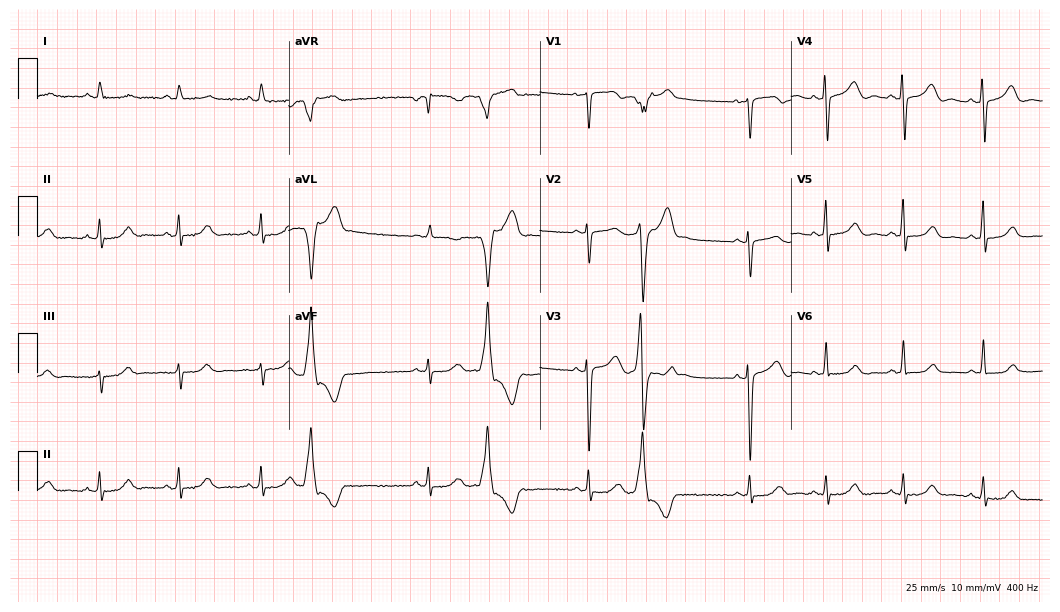
Electrocardiogram, a male, 69 years old. Of the six screened findings (first-degree AV block, right bundle branch block (RBBB), left bundle branch block (LBBB), sinus bradycardia, atrial fibrillation (AF), sinus tachycardia), none is recorded.